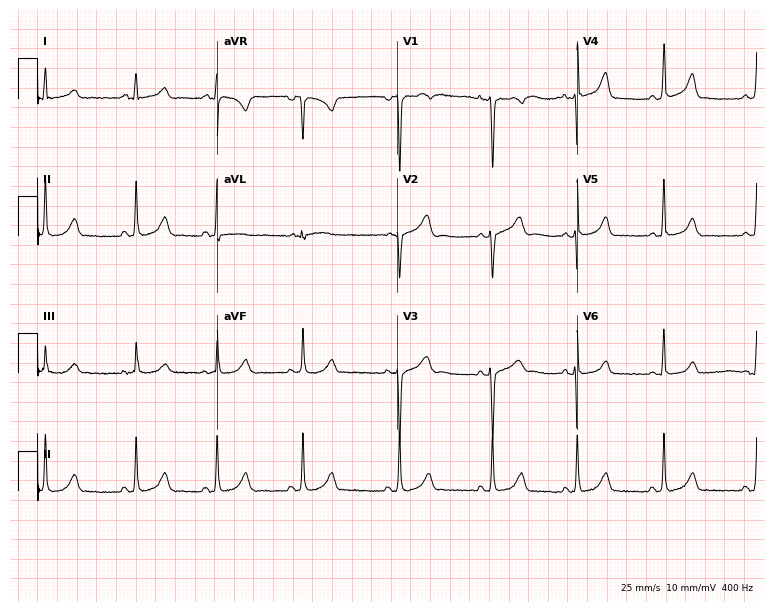
12-lead ECG from a female patient, 17 years old. Recorded interpretation: within normal limits.